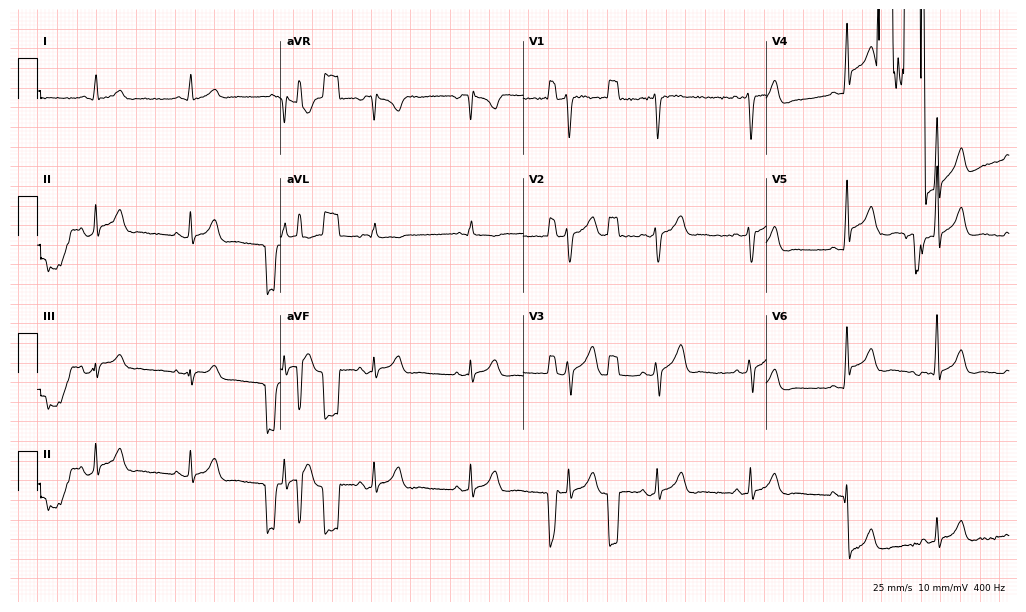
12-lead ECG from a man, 38 years old. Labelled as a normal ECG.